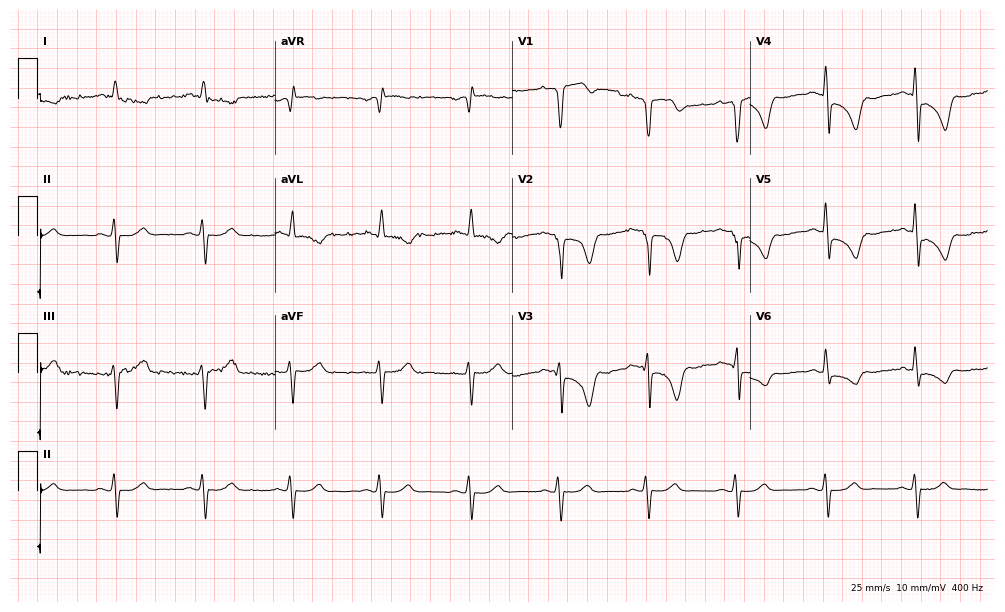
Electrocardiogram (9.7-second recording at 400 Hz), an 83-year-old man. Of the six screened findings (first-degree AV block, right bundle branch block, left bundle branch block, sinus bradycardia, atrial fibrillation, sinus tachycardia), none is recorded.